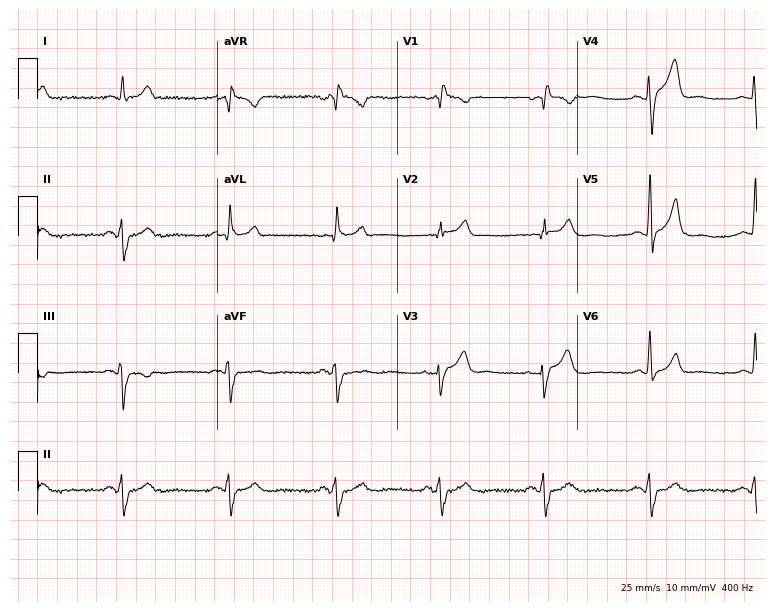
ECG (7.3-second recording at 400 Hz) — a male patient, 63 years old. Screened for six findings — first-degree AV block, right bundle branch block (RBBB), left bundle branch block (LBBB), sinus bradycardia, atrial fibrillation (AF), sinus tachycardia — none is recorded. Only these six findings were labelled.